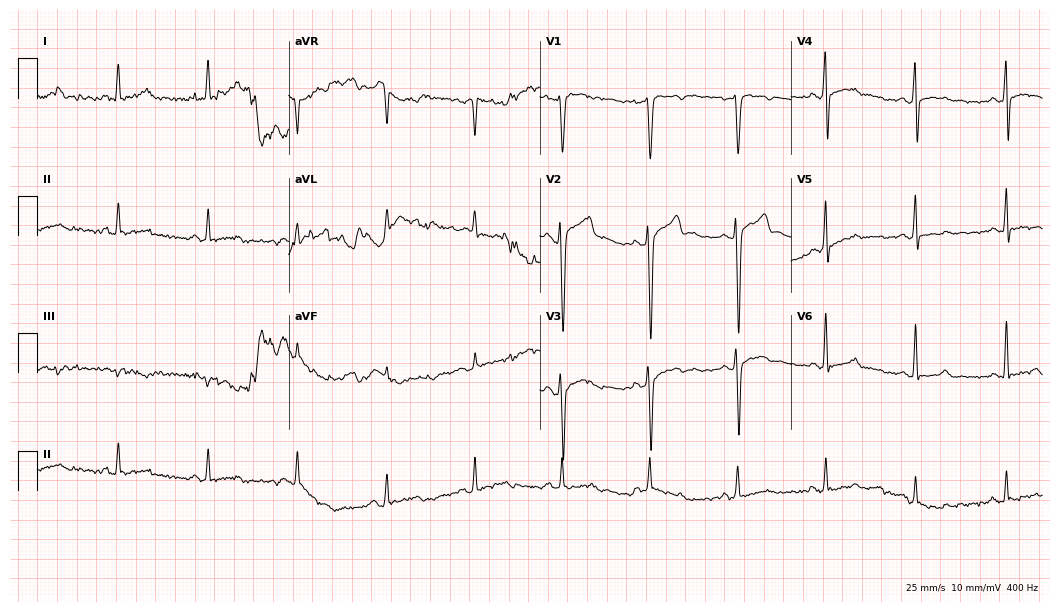
ECG — a male patient, 47 years old. Labelled as a normal ECG.